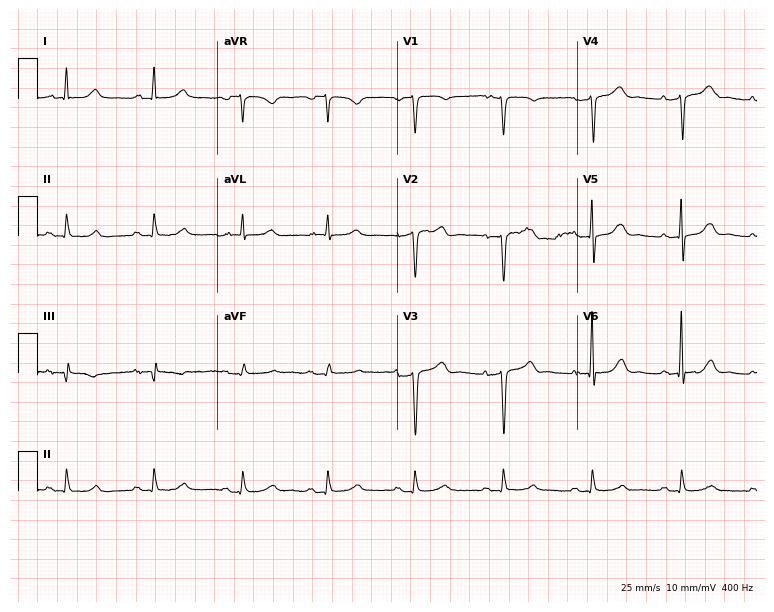
12-lead ECG from a 70-year-old woman. Screened for six findings — first-degree AV block, right bundle branch block, left bundle branch block, sinus bradycardia, atrial fibrillation, sinus tachycardia — none is recorded. Findings outside these six are not listed.